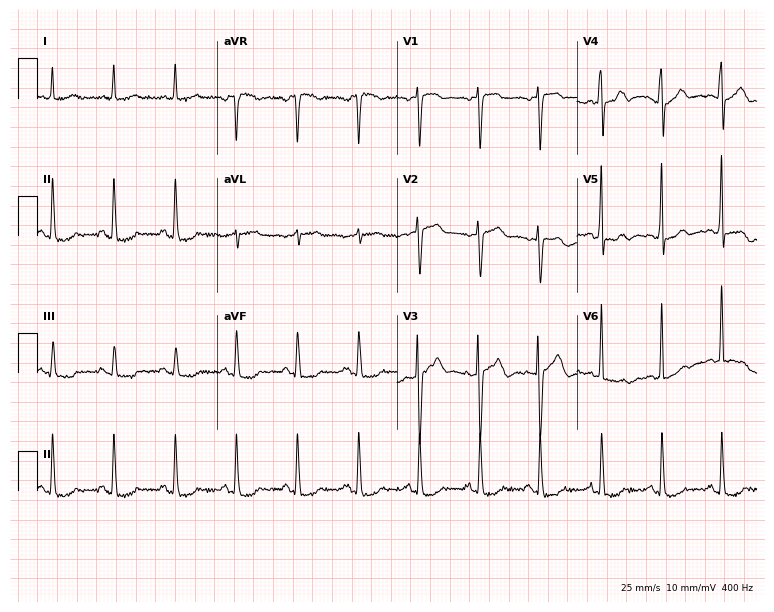
Electrocardiogram, a female, 69 years old. Of the six screened findings (first-degree AV block, right bundle branch block, left bundle branch block, sinus bradycardia, atrial fibrillation, sinus tachycardia), none is recorded.